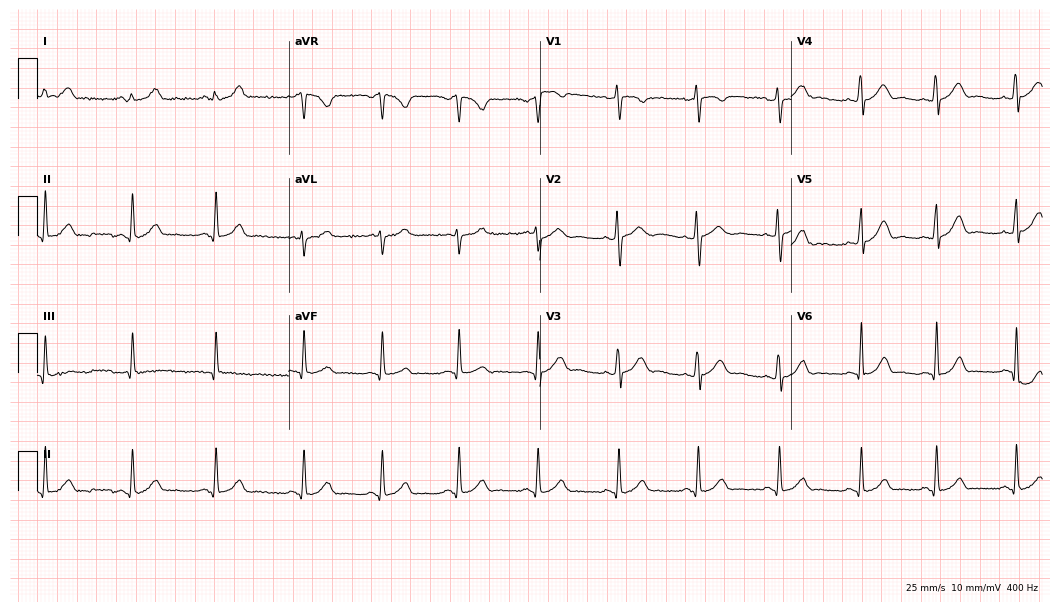
Resting 12-lead electrocardiogram. Patient: a 19-year-old female. Read as a normal ECG.